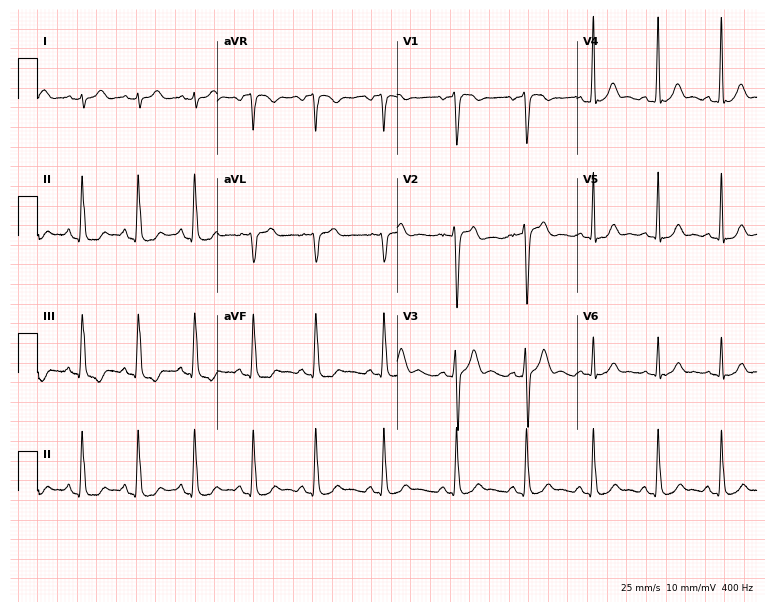
ECG (7.3-second recording at 400 Hz) — a male, 22 years old. Screened for six findings — first-degree AV block, right bundle branch block, left bundle branch block, sinus bradycardia, atrial fibrillation, sinus tachycardia — none is recorded. Findings outside these six are not listed.